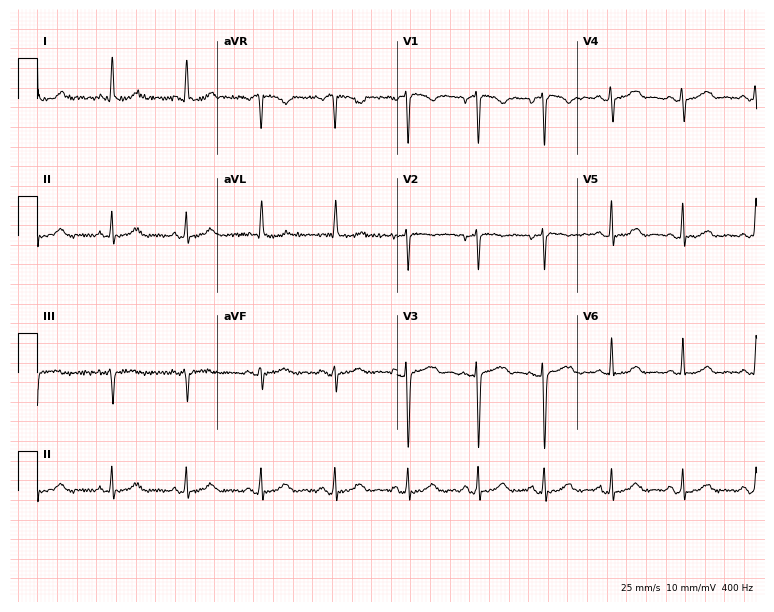
12-lead ECG from a female, 52 years old. Recorded interpretation: within normal limits.